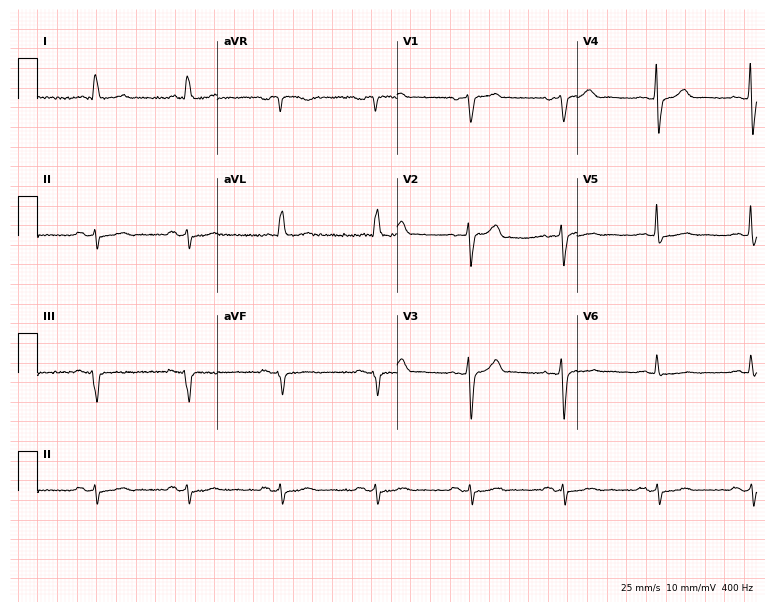
ECG — a 68-year-old male patient. Screened for six findings — first-degree AV block, right bundle branch block, left bundle branch block, sinus bradycardia, atrial fibrillation, sinus tachycardia — none is recorded.